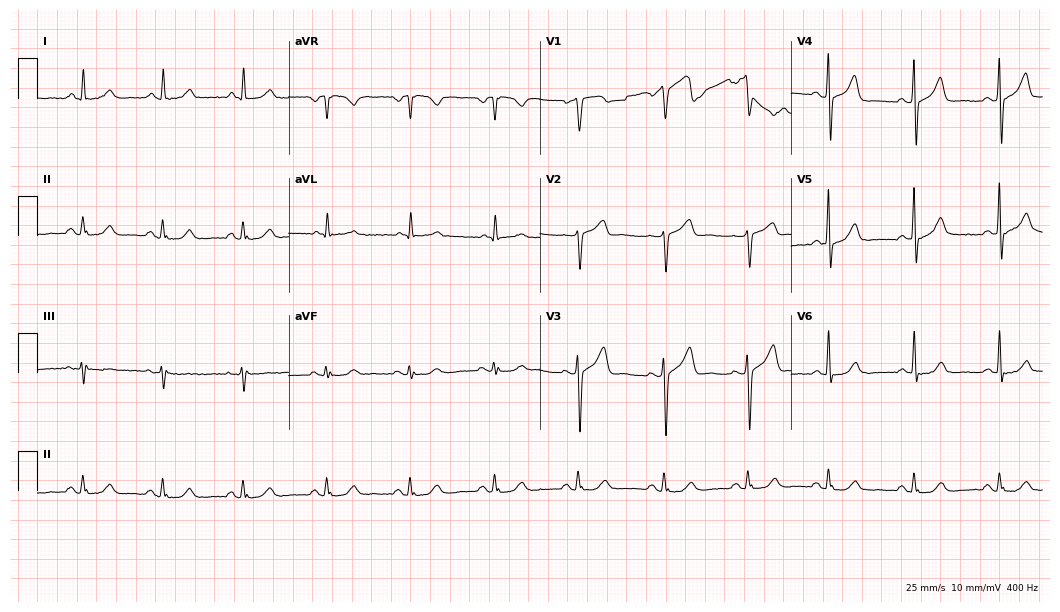
Resting 12-lead electrocardiogram. Patient: a male, 67 years old. None of these six findings is recorded: first-degree AV block, right bundle branch block, left bundle branch block, sinus bradycardia, atrial fibrillation, sinus tachycardia.